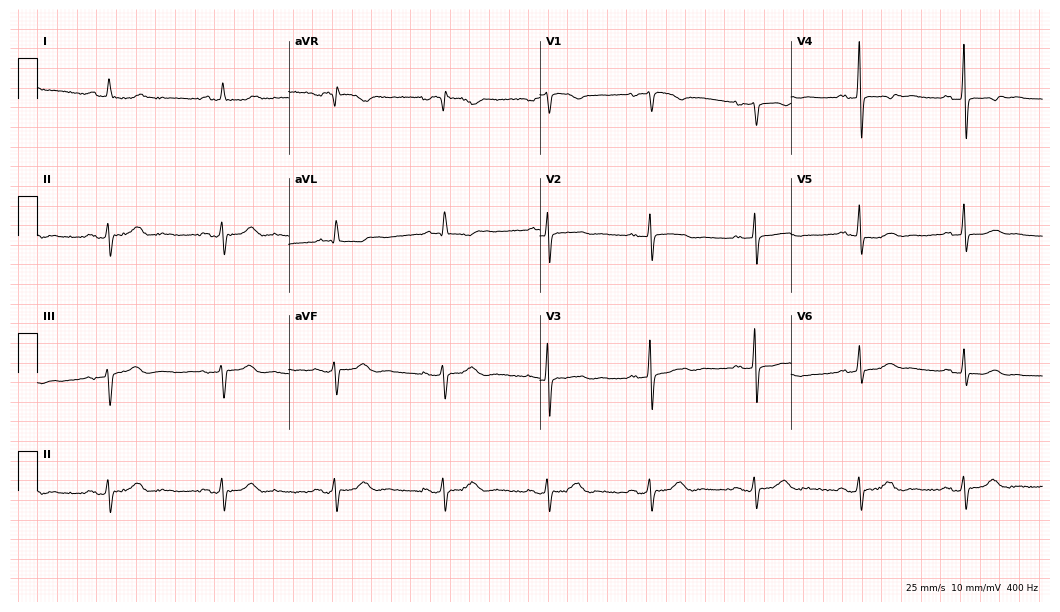
Electrocardiogram, a female patient, 80 years old. Overall reading on record: normal ECG.